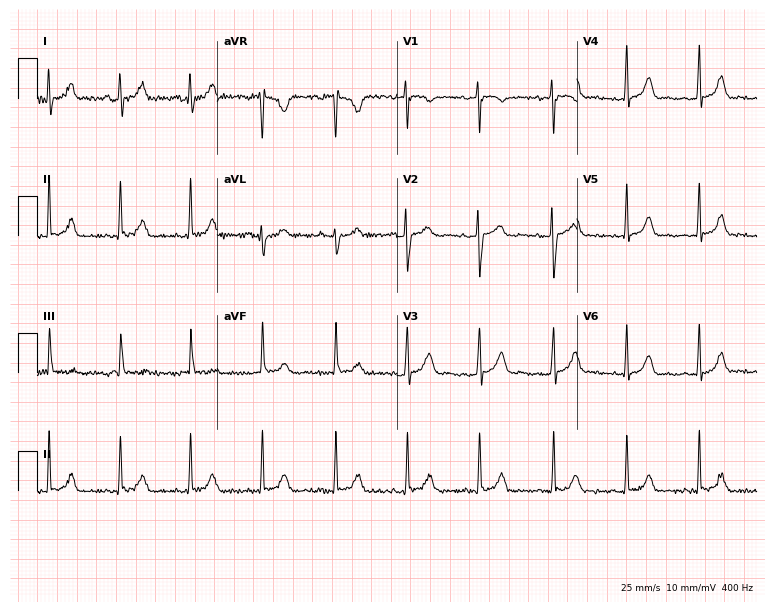
Standard 12-lead ECG recorded from a female patient, 23 years old. Read as a normal ECG.